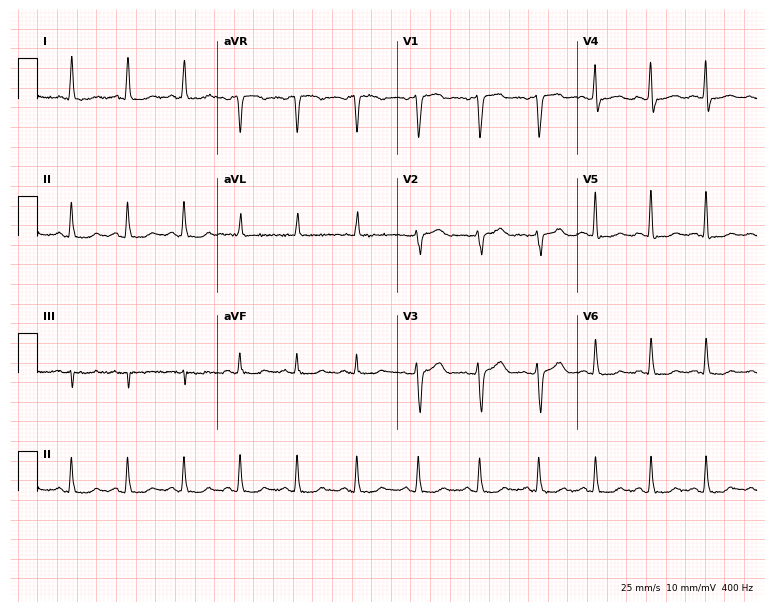
Resting 12-lead electrocardiogram. Patient: a 38-year-old man. Read as a normal ECG.